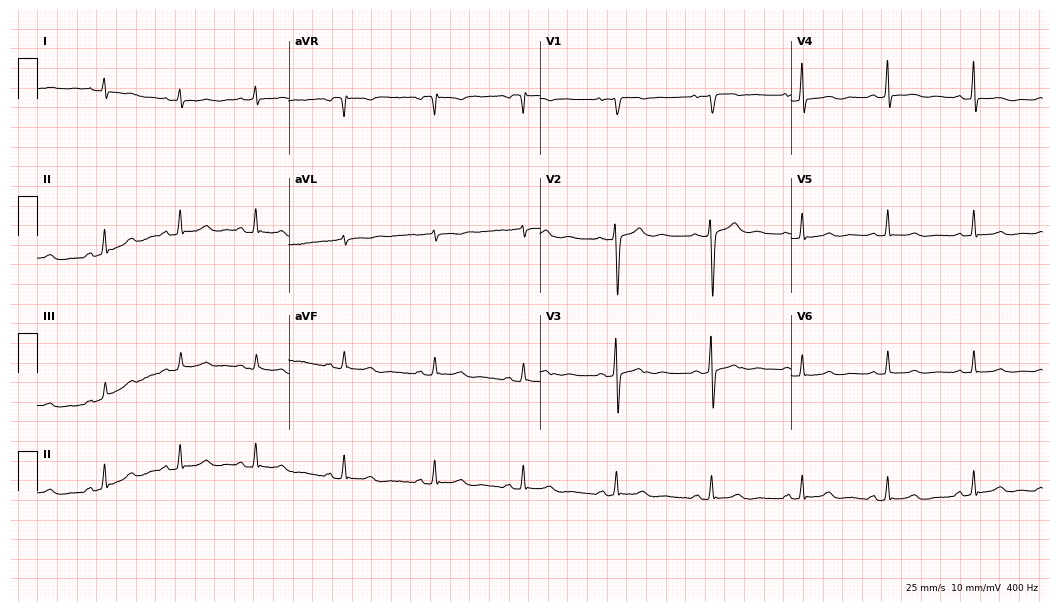
Standard 12-lead ECG recorded from a female, 23 years old (10.2-second recording at 400 Hz). Read as a normal ECG.